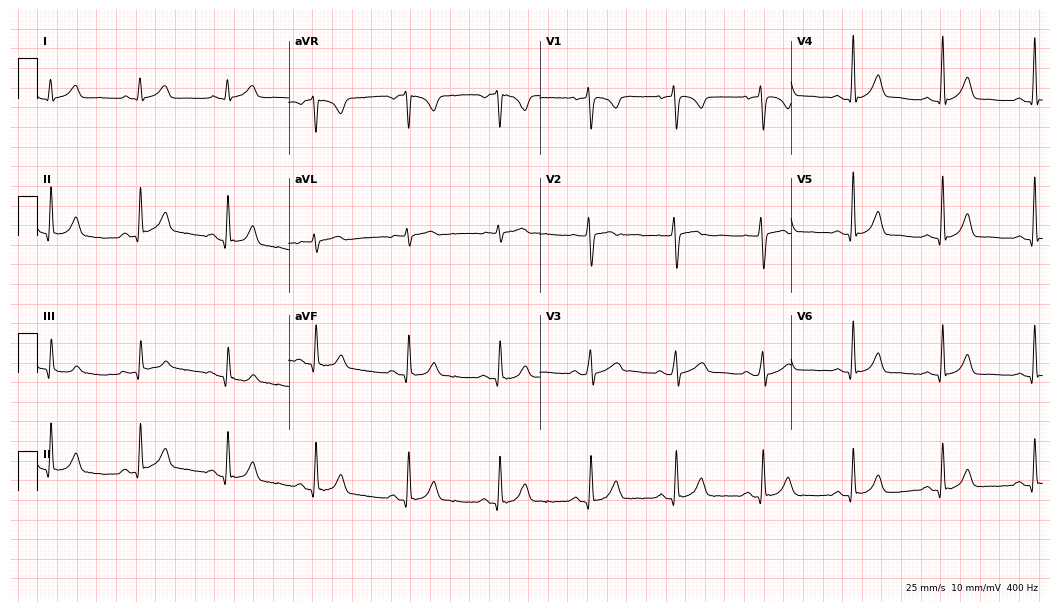
Electrocardiogram, a 38-year-old male patient. Overall reading on record: normal ECG.